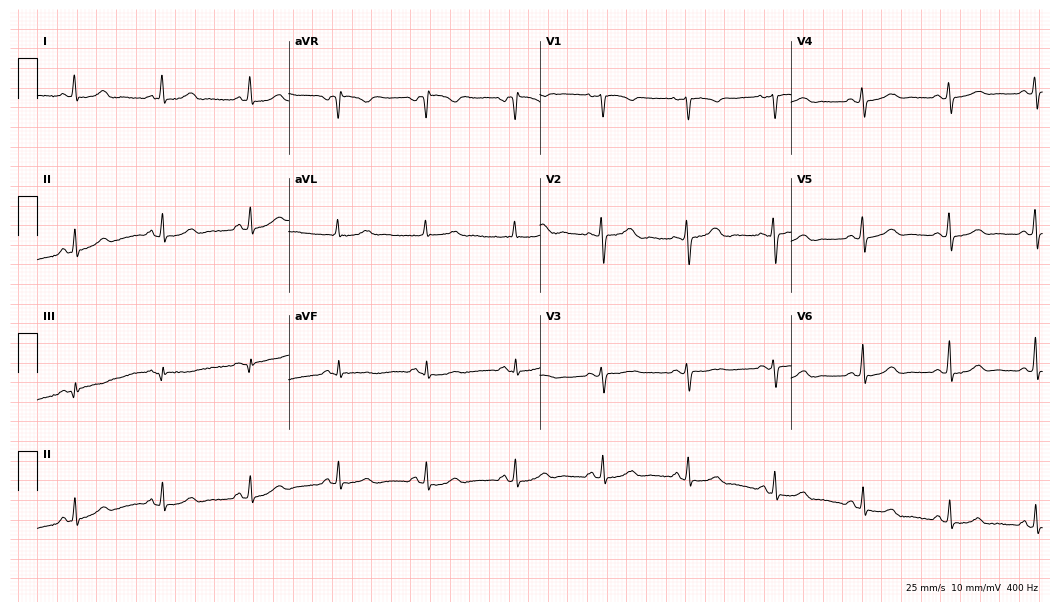
12-lead ECG from a 60-year-old woman (10.2-second recording at 400 Hz). Recorded interpretation: within normal limits.